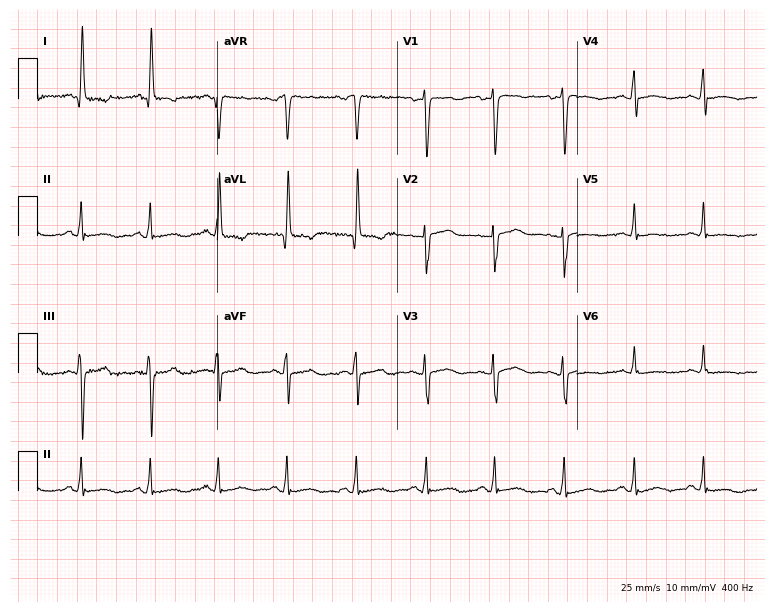
Standard 12-lead ECG recorded from a woman, 50 years old. None of these six findings is recorded: first-degree AV block, right bundle branch block (RBBB), left bundle branch block (LBBB), sinus bradycardia, atrial fibrillation (AF), sinus tachycardia.